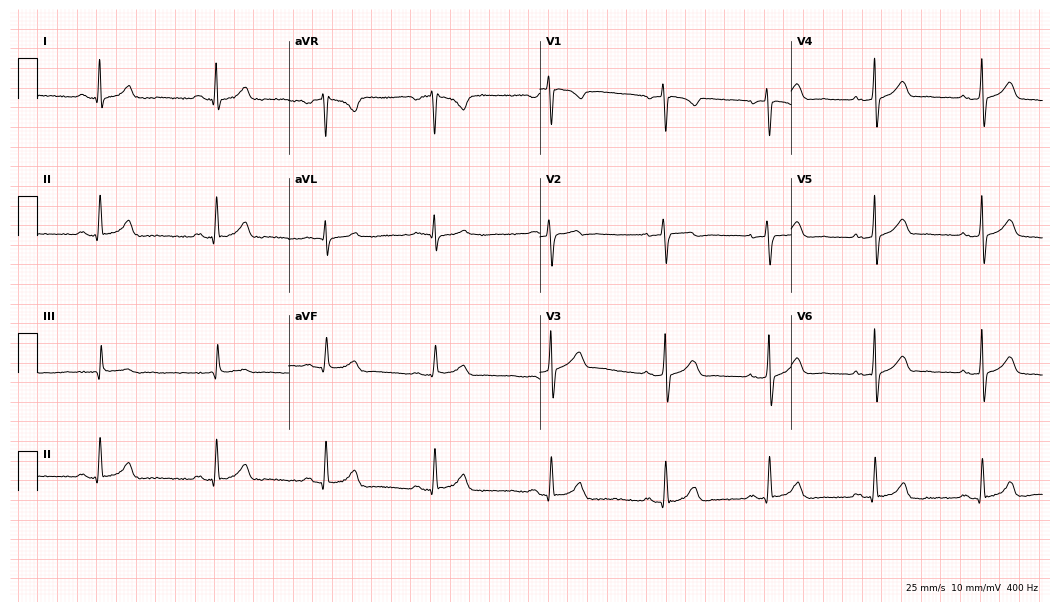
12-lead ECG from a man, 41 years old. Labelled as a normal ECG.